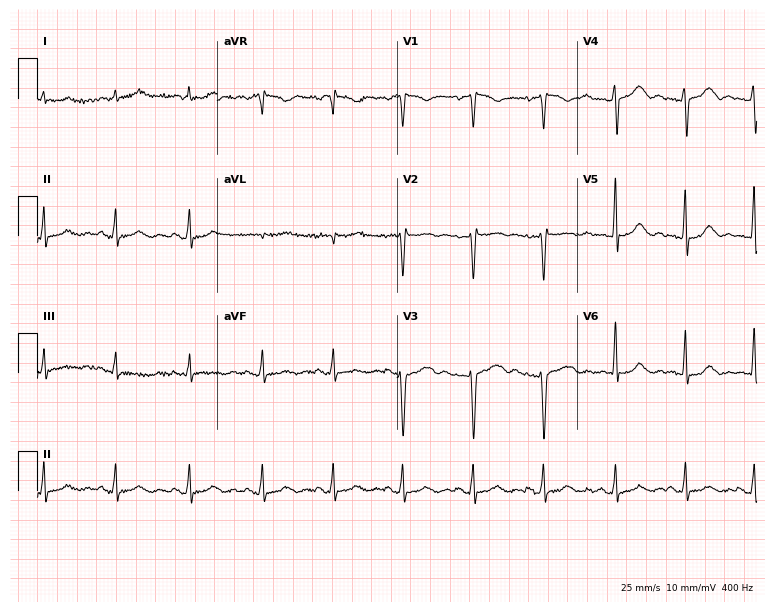
Standard 12-lead ECG recorded from a female patient, 53 years old. None of these six findings is recorded: first-degree AV block, right bundle branch block (RBBB), left bundle branch block (LBBB), sinus bradycardia, atrial fibrillation (AF), sinus tachycardia.